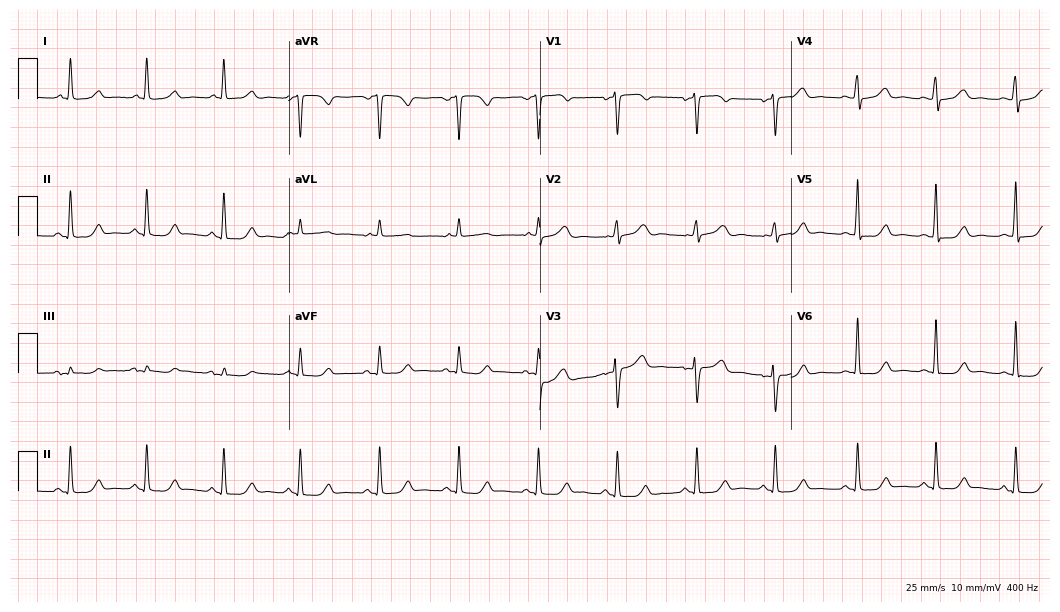
12-lead ECG from a 62-year-old woman. Screened for six findings — first-degree AV block, right bundle branch block, left bundle branch block, sinus bradycardia, atrial fibrillation, sinus tachycardia — none is recorded.